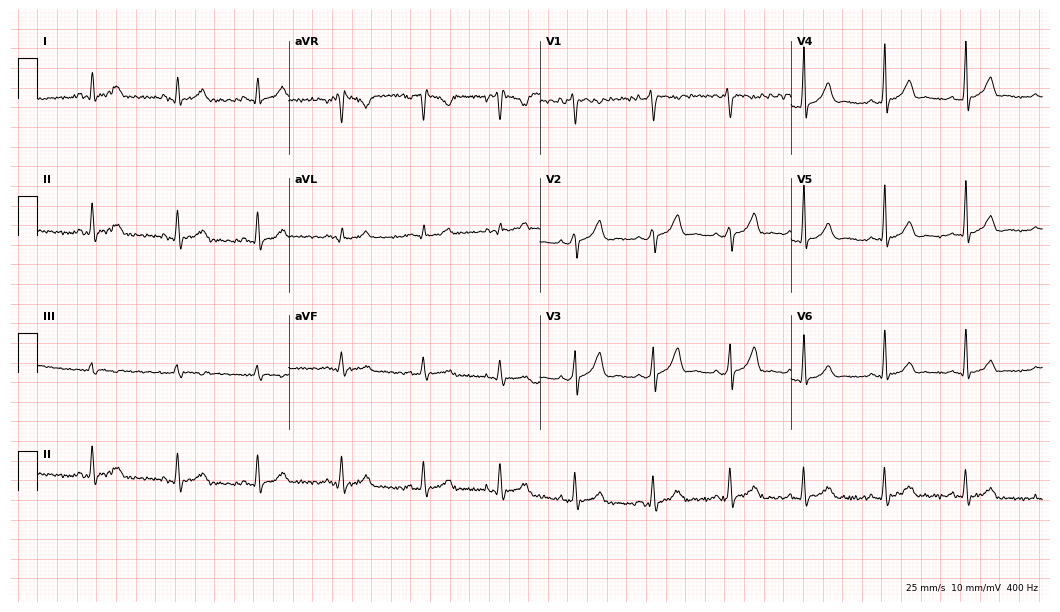
Standard 12-lead ECG recorded from a female patient, 25 years old (10.2-second recording at 400 Hz). Read as a normal ECG.